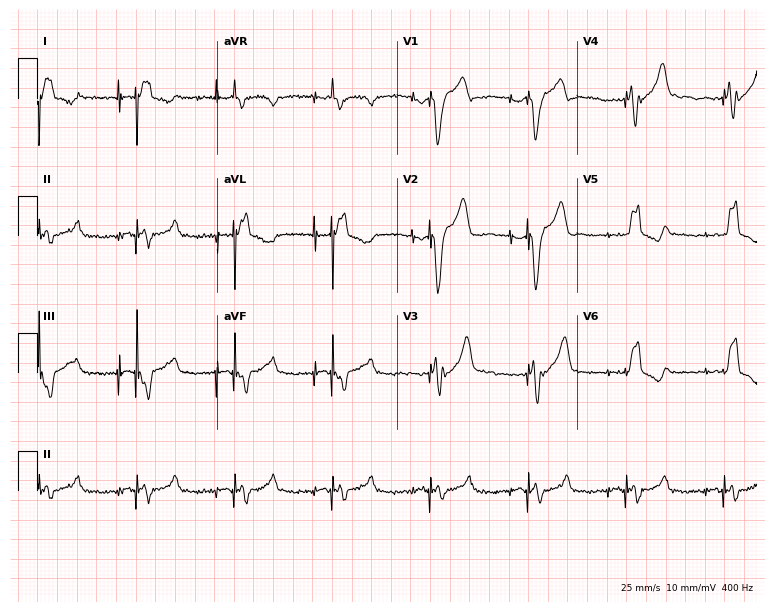
Electrocardiogram (7.3-second recording at 400 Hz), a 58-year-old male. Of the six screened findings (first-degree AV block, right bundle branch block, left bundle branch block, sinus bradycardia, atrial fibrillation, sinus tachycardia), none is recorded.